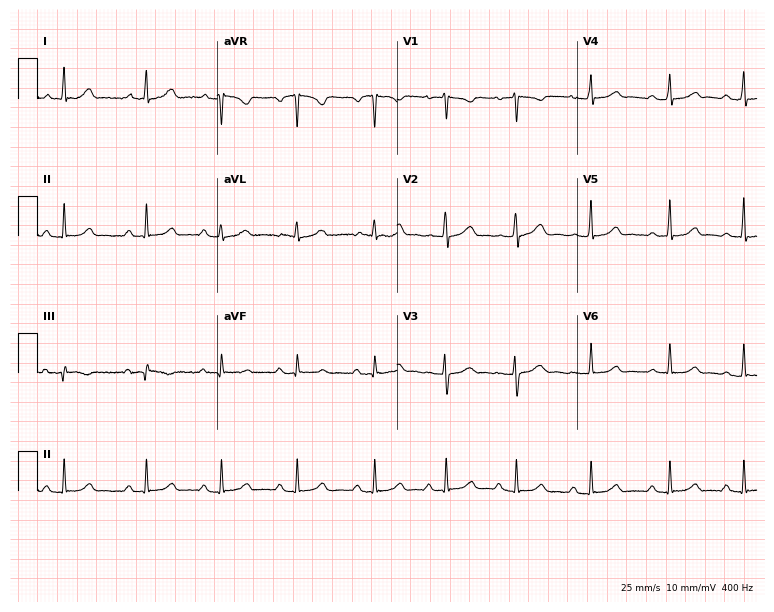
Electrocardiogram, a 36-year-old female patient. Overall reading on record: normal ECG.